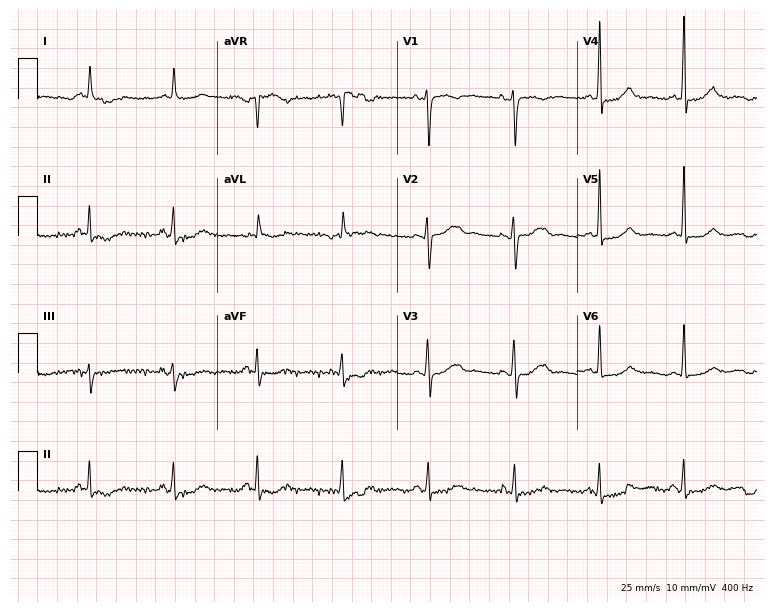
Resting 12-lead electrocardiogram (7.3-second recording at 400 Hz). Patient: a female, 59 years old. None of these six findings is recorded: first-degree AV block, right bundle branch block, left bundle branch block, sinus bradycardia, atrial fibrillation, sinus tachycardia.